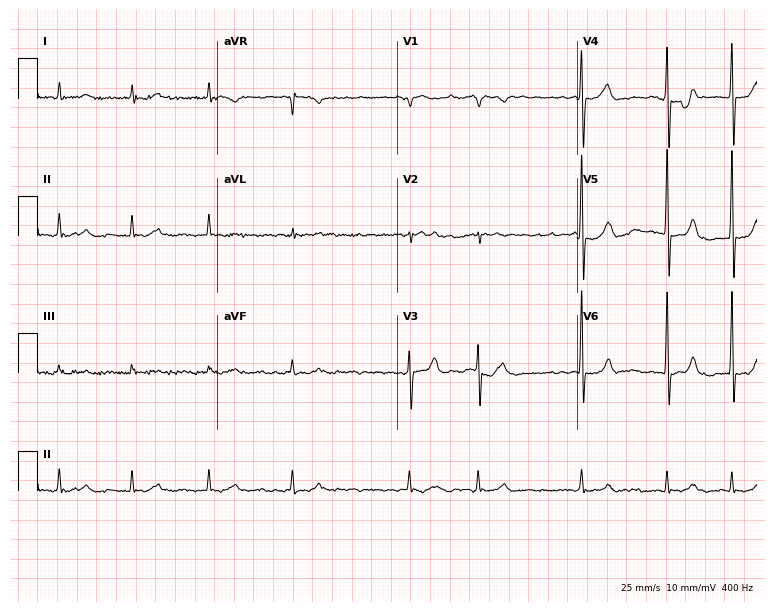
Standard 12-lead ECG recorded from a 68-year-old male. None of these six findings is recorded: first-degree AV block, right bundle branch block, left bundle branch block, sinus bradycardia, atrial fibrillation, sinus tachycardia.